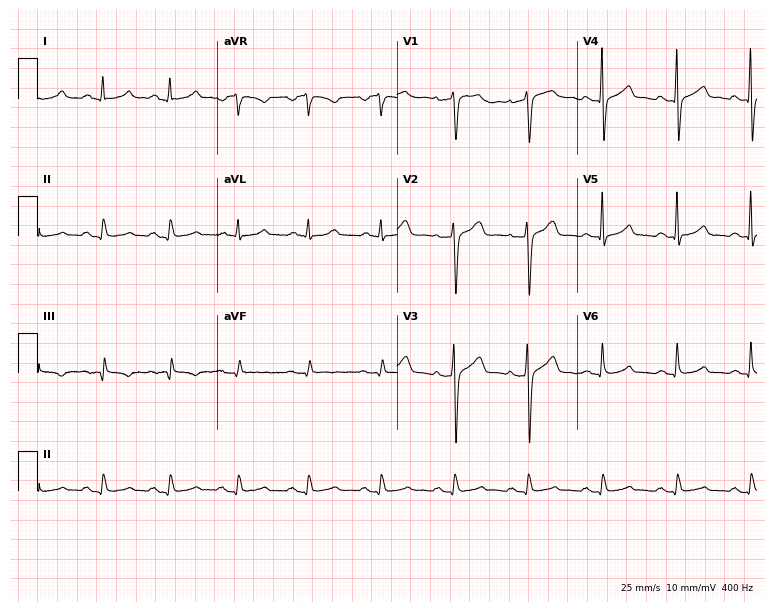
ECG (7.3-second recording at 400 Hz) — a 44-year-old male patient. Screened for six findings — first-degree AV block, right bundle branch block, left bundle branch block, sinus bradycardia, atrial fibrillation, sinus tachycardia — none is recorded.